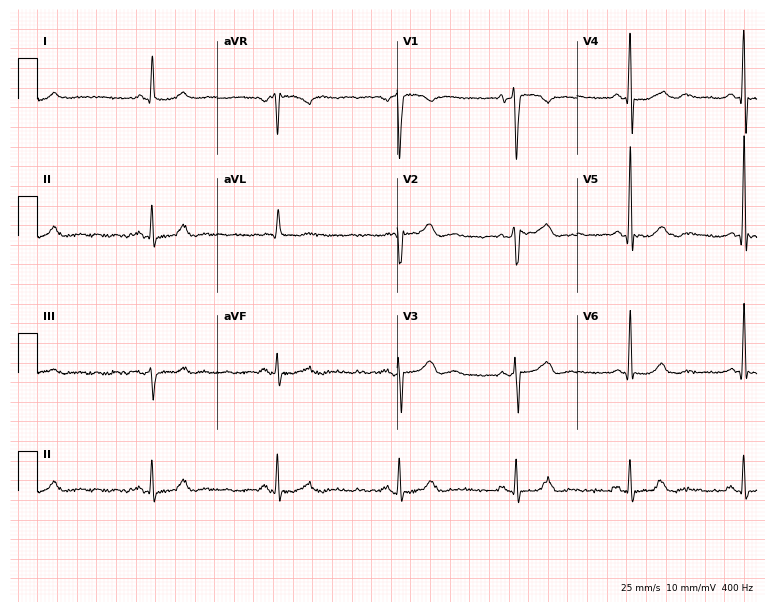
Resting 12-lead electrocardiogram. Patient: a 79-year-old male. The tracing shows sinus bradycardia (a sinus rate of 50 beats per minute or less).